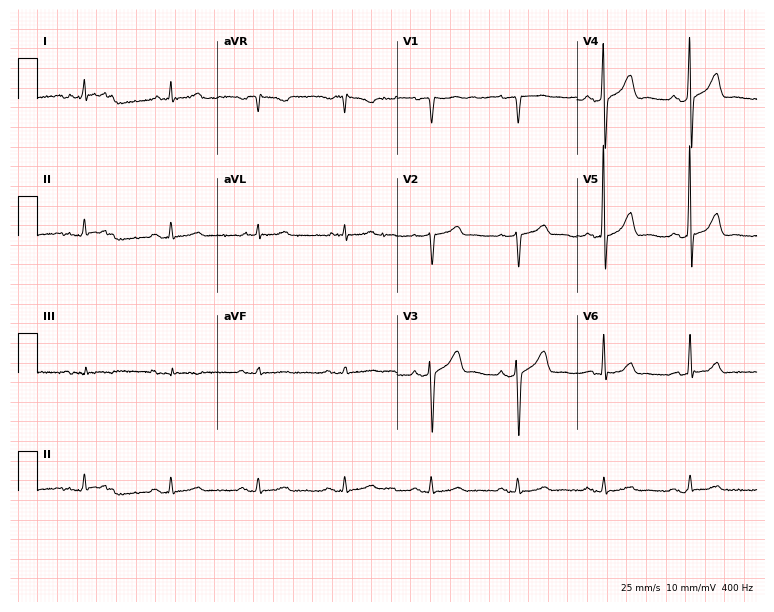
12-lead ECG from a male patient, 83 years old. Labelled as a normal ECG.